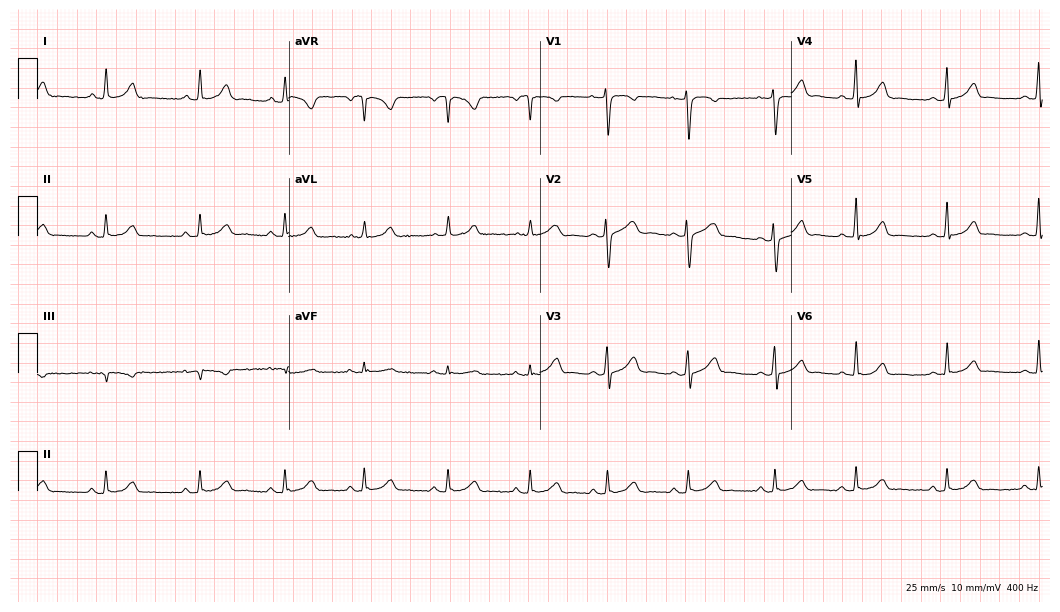
ECG (10.2-second recording at 400 Hz) — a 24-year-old female. Labelled as a normal ECG.